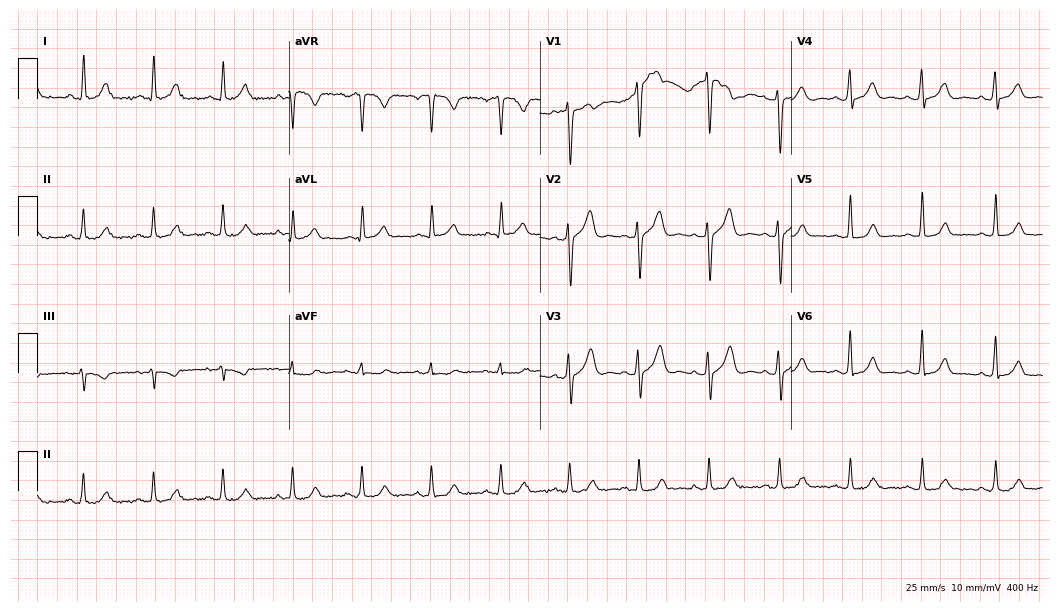
Standard 12-lead ECG recorded from a male patient, 37 years old (10.2-second recording at 400 Hz). Read as a normal ECG.